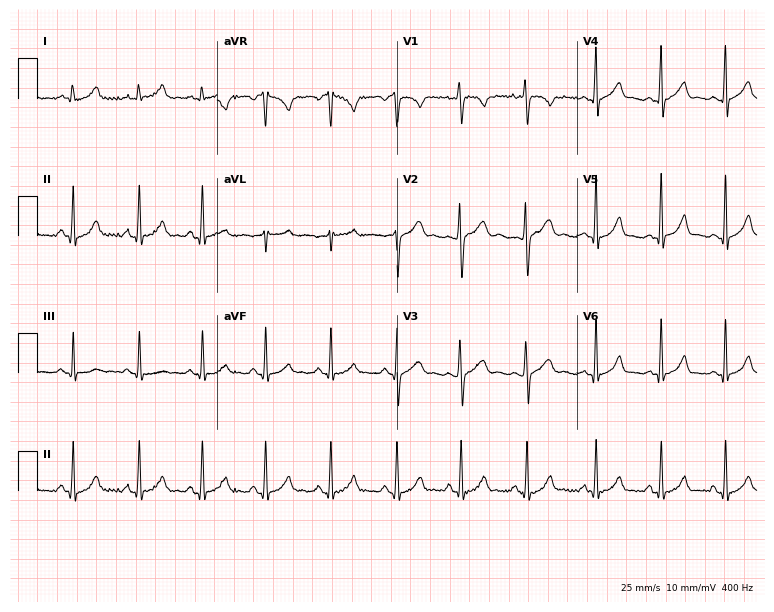
12-lead ECG from a female, 18 years old (7.3-second recording at 400 Hz). Recorded interpretation: within normal limits.